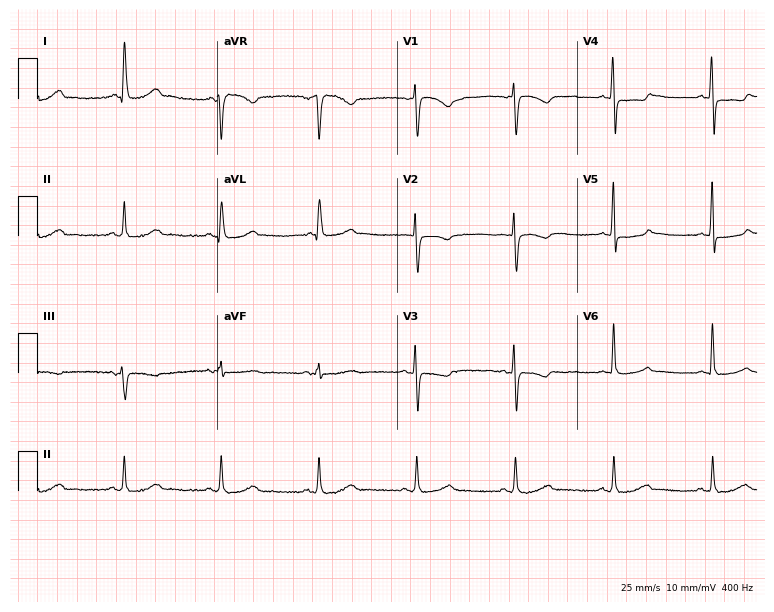
Standard 12-lead ECG recorded from a 70-year-old female. None of these six findings is recorded: first-degree AV block, right bundle branch block, left bundle branch block, sinus bradycardia, atrial fibrillation, sinus tachycardia. Other findings, if any, are not listed.